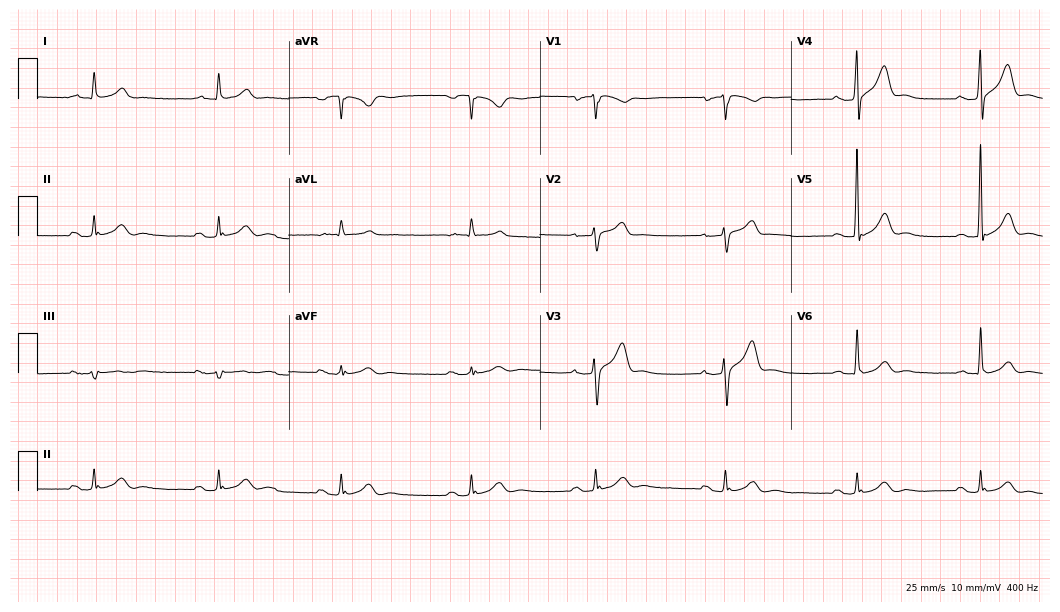
Electrocardiogram (10.2-second recording at 400 Hz), a 74-year-old male. Interpretation includes first-degree AV block, sinus bradycardia (a sinus rate of 50 beats per minute or less).